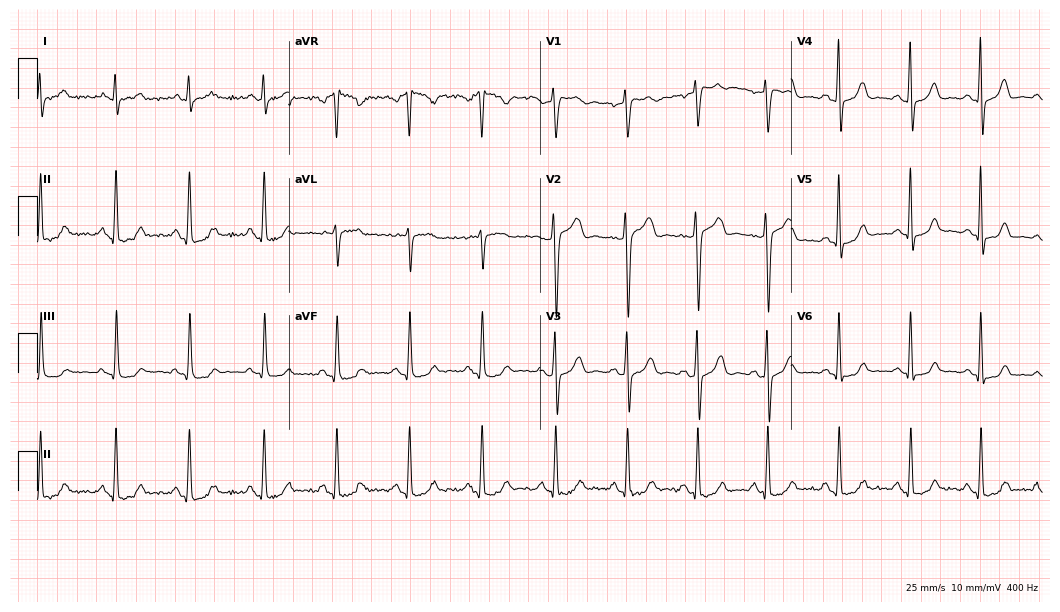
Resting 12-lead electrocardiogram (10.2-second recording at 400 Hz). Patient: a female, 39 years old. Read as a normal ECG.